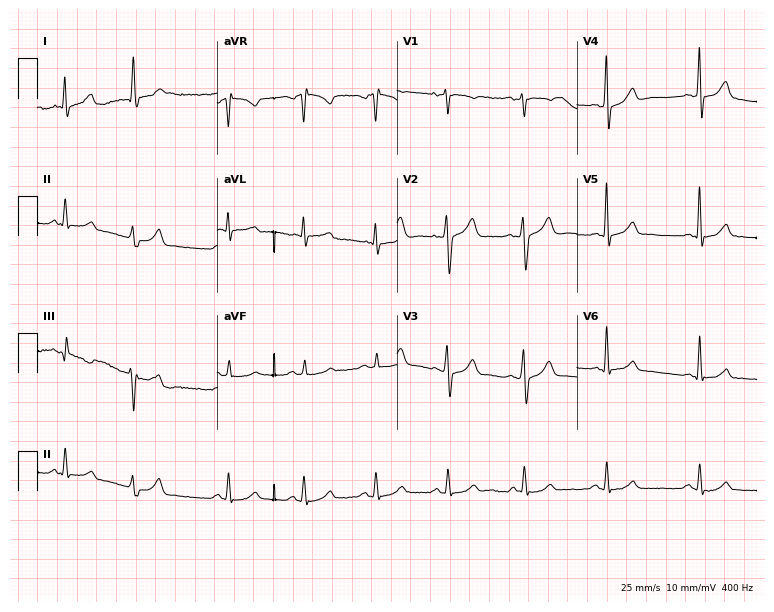
Electrocardiogram (7.3-second recording at 400 Hz), a 40-year-old male. Of the six screened findings (first-degree AV block, right bundle branch block (RBBB), left bundle branch block (LBBB), sinus bradycardia, atrial fibrillation (AF), sinus tachycardia), none is recorded.